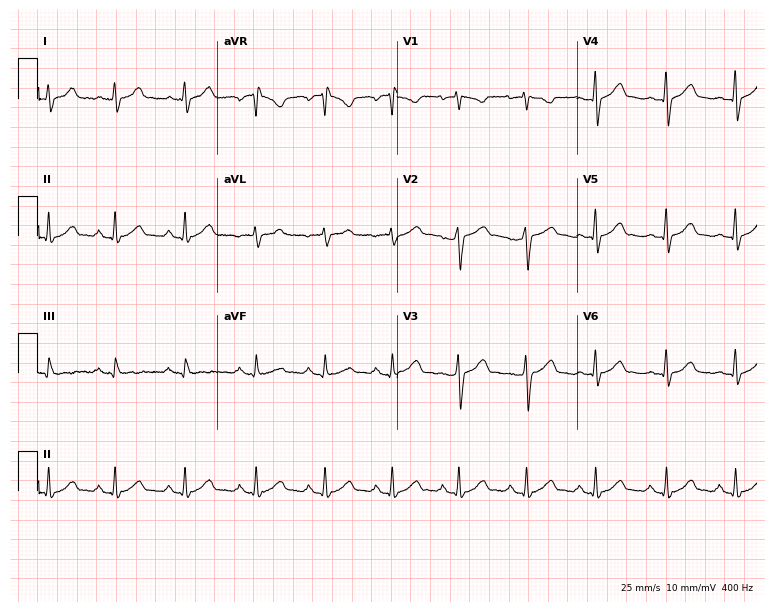
Standard 12-lead ECG recorded from a 43-year-old man (7.3-second recording at 400 Hz). None of these six findings is recorded: first-degree AV block, right bundle branch block, left bundle branch block, sinus bradycardia, atrial fibrillation, sinus tachycardia.